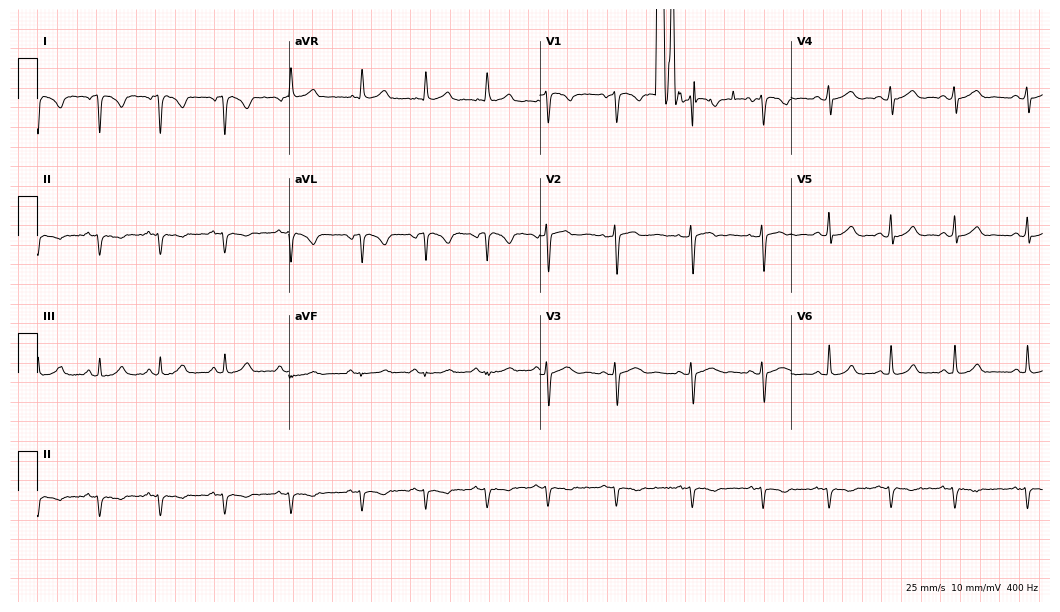
Resting 12-lead electrocardiogram. Patient: a 36-year-old female. None of these six findings is recorded: first-degree AV block, right bundle branch block (RBBB), left bundle branch block (LBBB), sinus bradycardia, atrial fibrillation (AF), sinus tachycardia.